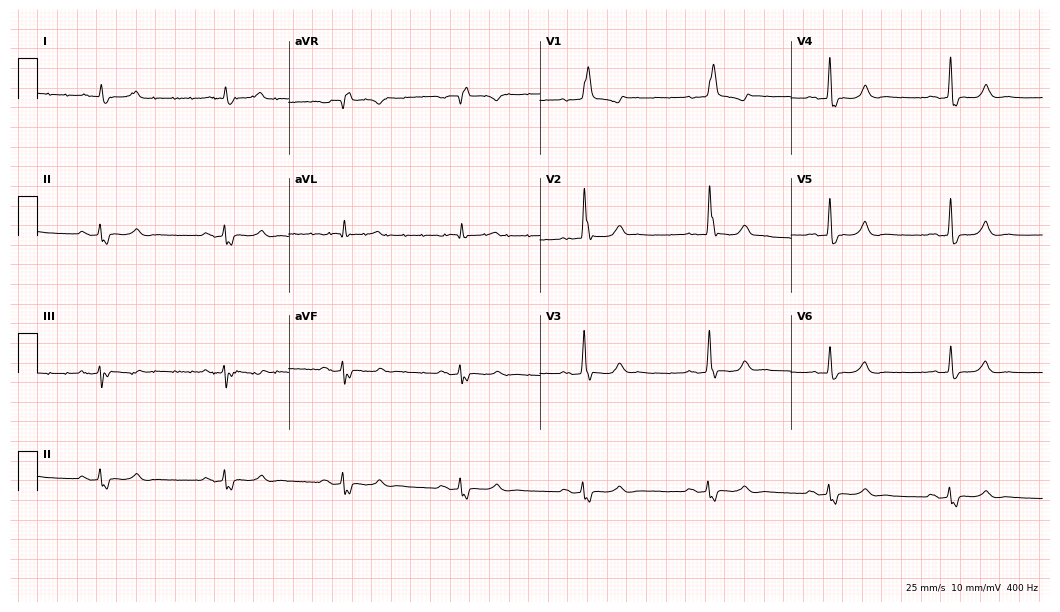
12-lead ECG from a man, 78 years old (10.2-second recording at 400 Hz). Shows right bundle branch block (RBBB).